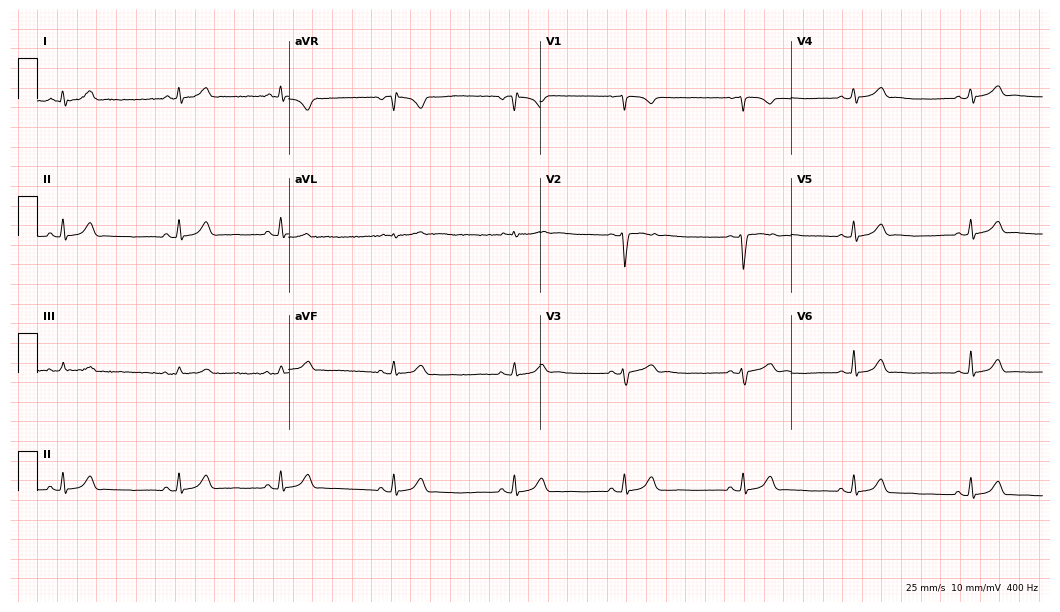
Standard 12-lead ECG recorded from a 20-year-old female patient. Read as a normal ECG.